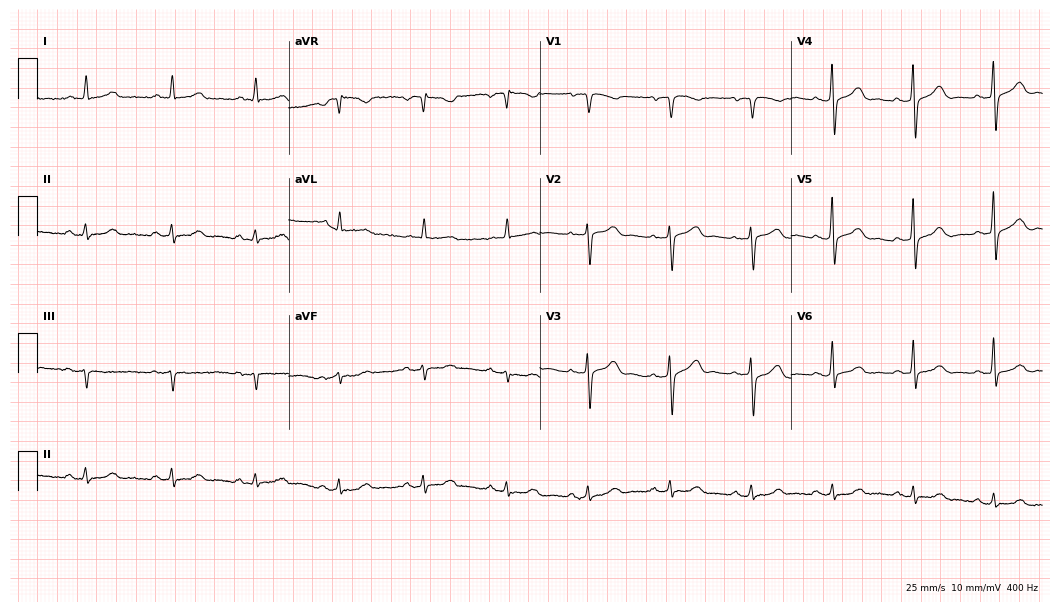
Standard 12-lead ECG recorded from a 64-year-old female (10.2-second recording at 400 Hz). None of these six findings is recorded: first-degree AV block, right bundle branch block, left bundle branch block, sinus bradycardia, atrial fibrillation, sinus tachycardia. Only these six findings were labelled.